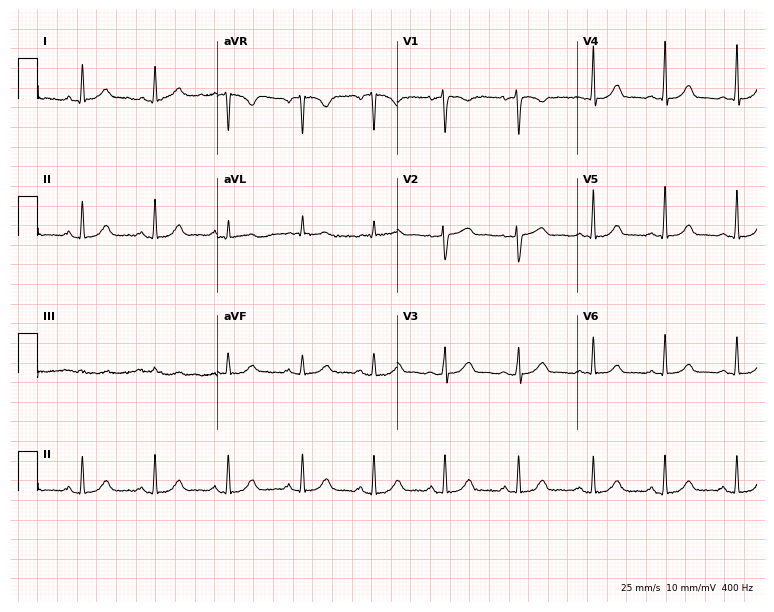
ECG (7.3-second recording at 400 Hz) — a female, 45 years old. Labelled as a normal ECG.